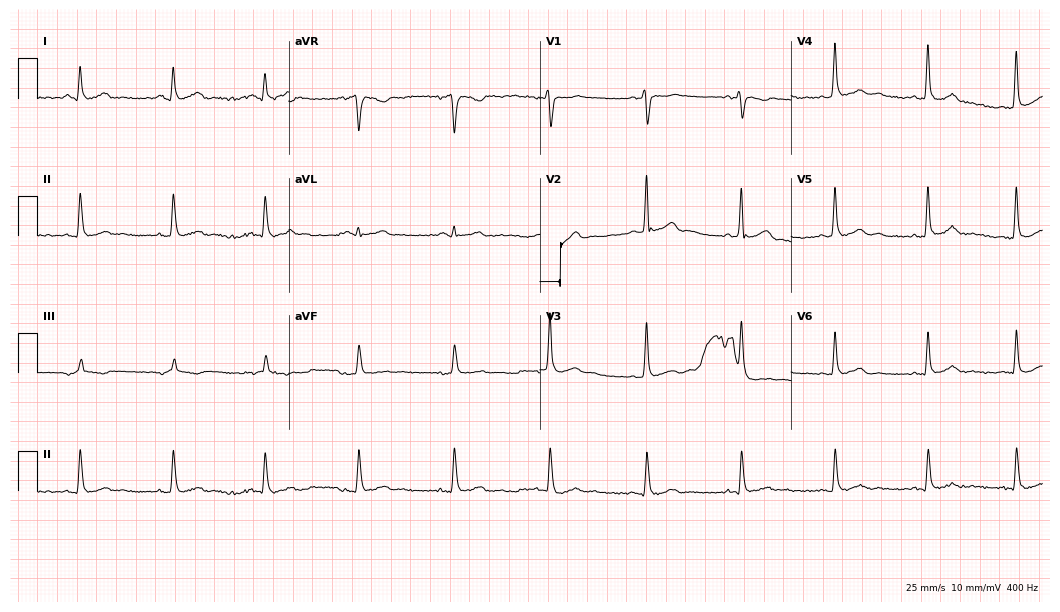
Standard 12-lead ECG recorded from a 40-year-old male (10.2-second recording at 400 Hz). None of these six findings is recorded: first-degree AV block, right bundle branch block, left bundle branch block, sinus bradycardia, atrial fibrillation, sinus tachycardia. Other findings, if any, are not listed.